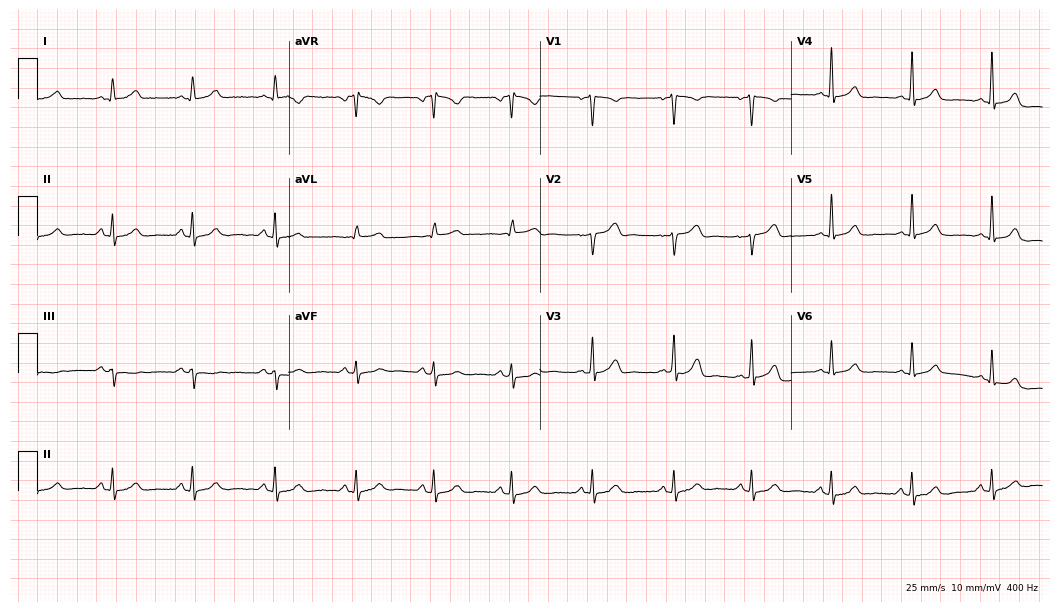
ECG (10.2-second recording at 400 Hz) — a 43-year-old woman. Labelled as a normal ECG.